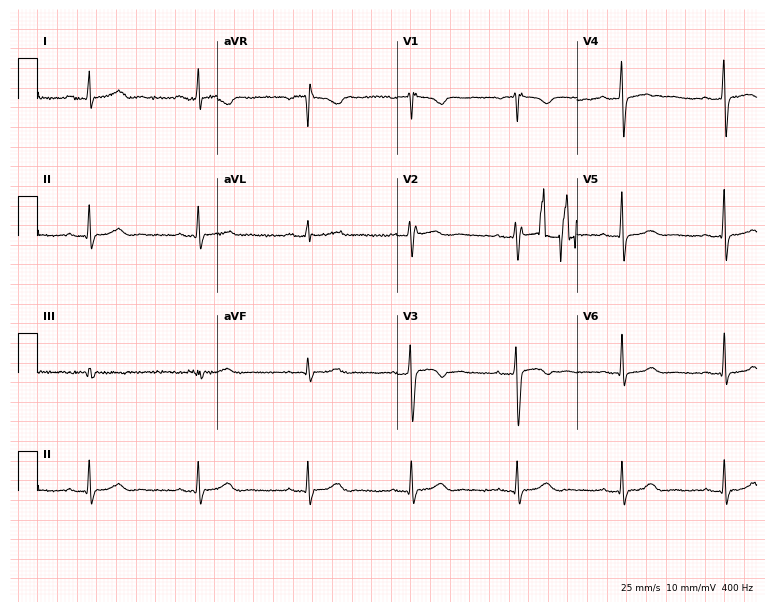
Resting 12-lead electrocardiogram (7.3-second recording at 400 Hz). Patient: a female, 56 years old. None of these six findings is recorded: first-degree AV block, right bundle branch block, left bundle branch block, sinus bradycardia, atrial fibrillation, sinus tachycardia. Findings outside these six are not listed.